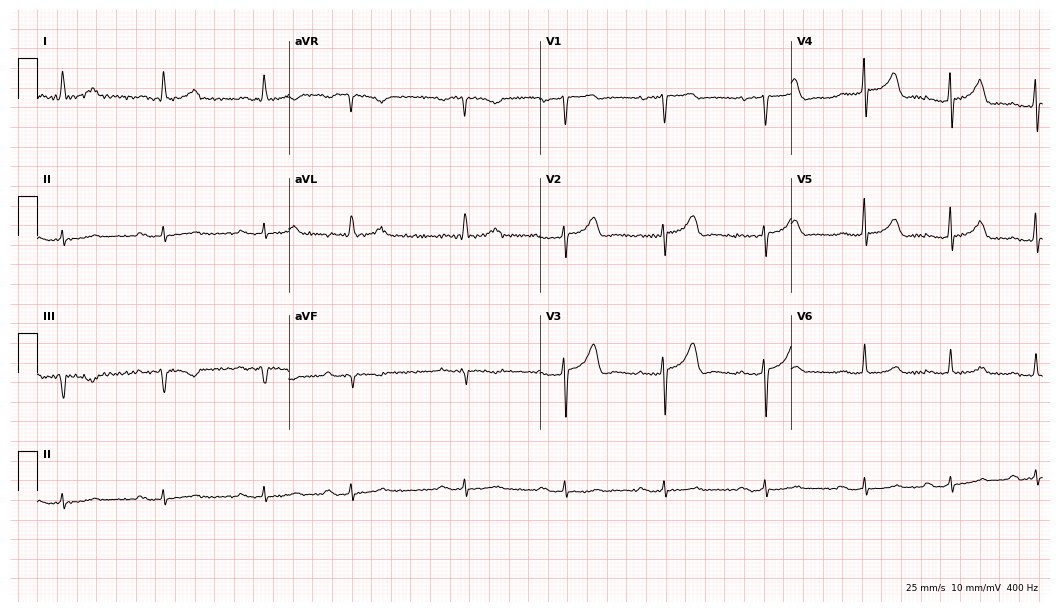
Electrocardiogram, a 72-year-old female patient. Interpretation includes first-degree AV block.